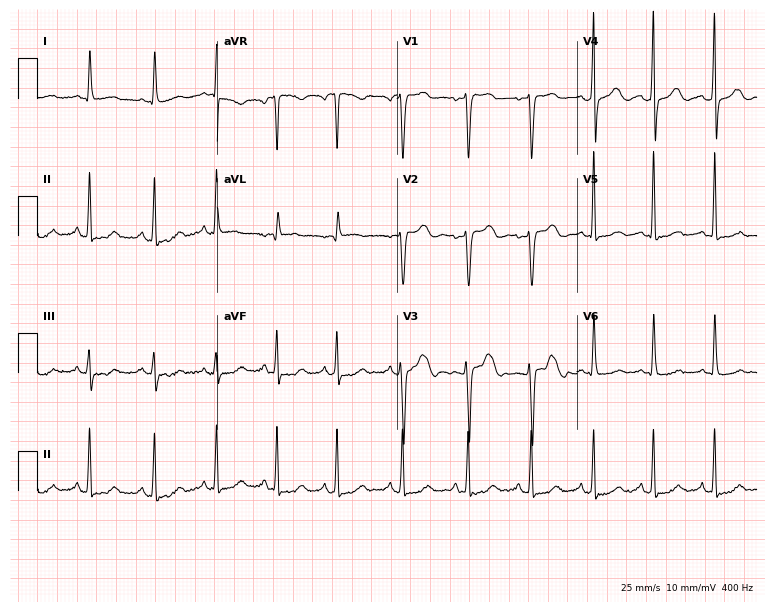
Standard 12-lead ECG recorded from a female patient, 50 years old (7.3-second recording at 400 Hz). None of these six findings is recorded: first-degree AV block, right bundle branch block (RBBB), left bundle branch block (LBBB), sinus bradycardia, atrial fibrillation (AF), sinus tachycardia. Findings outside these six are not listed.